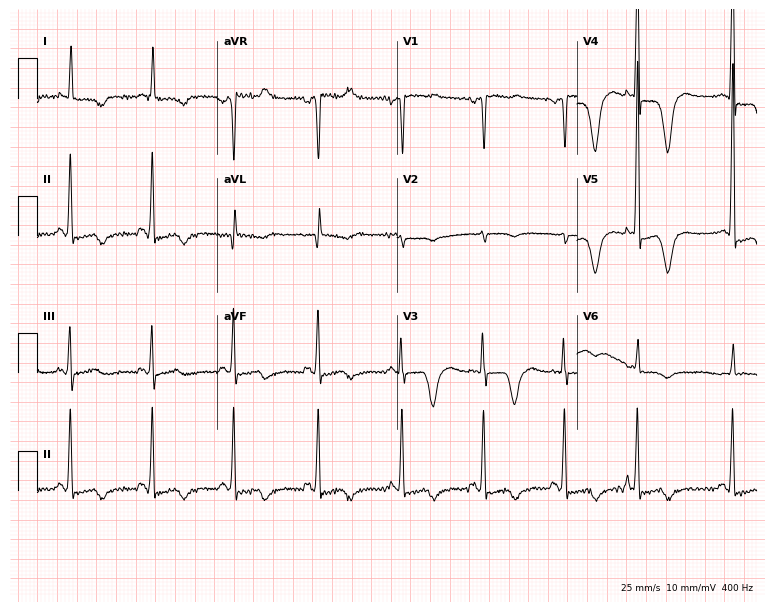
12-lead ECG from a 67-year-old female. Screened for six findings — first-degree AV block, right bundle branch block, left bundle branch block, sinus bradycardia, atrial fibrillation, sinus tachycardia — none is recorded. Other findings, if any, are not listed.